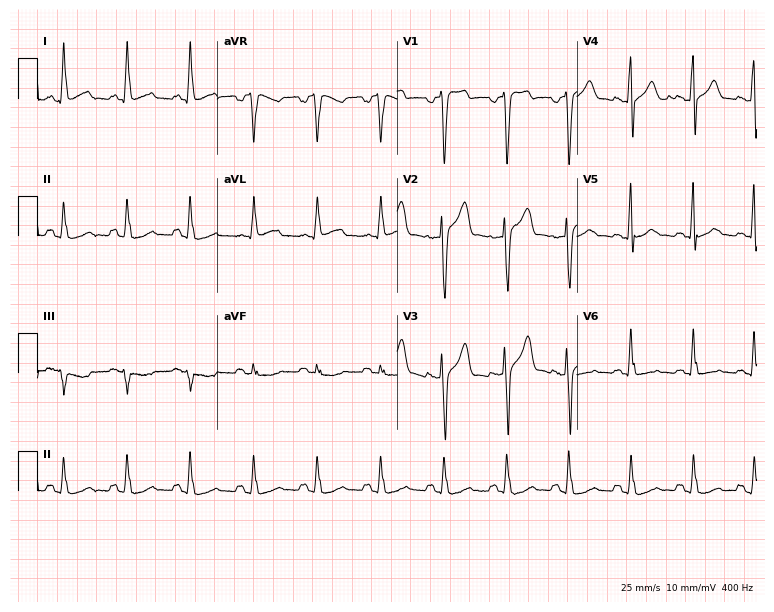
12-lead ECG from a male patient, 46 years old. No first-degree AV block, right bundle branch block, left bundle branch block, sinus bradycardia, atrial fibrillation or sinus tachycardia recorded for this tracing. Other findings, if any, are not listed.